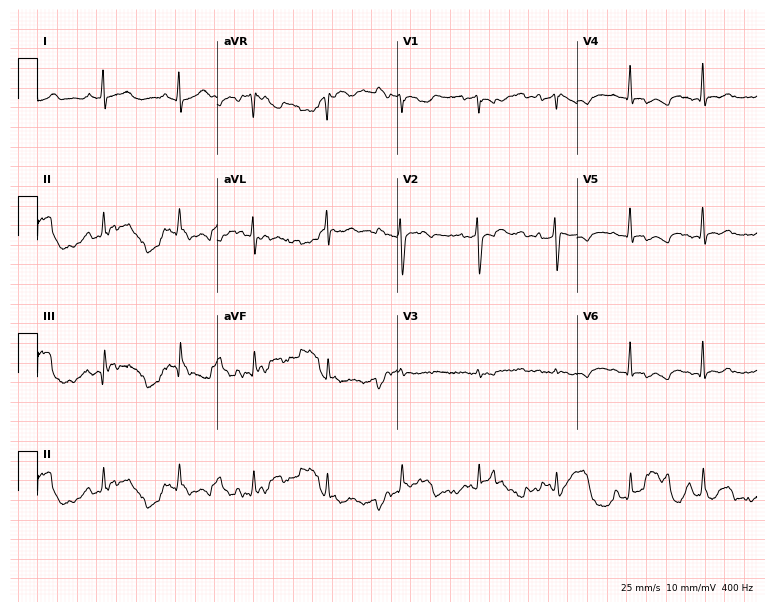
12-lead ECG from a female, 66 years old. No first-degree AV block, right bundle branch block (RBBB), left bundle branch block (LBBB), sinus bradycardia, atrial fibrillation (AF) or sinus tachycardia recorded for this tracing.